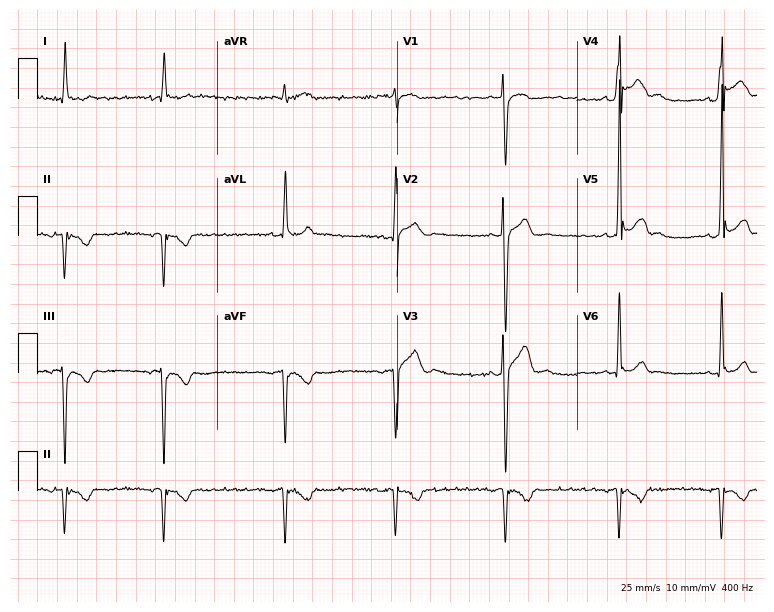
ECG — an 18-year-old man. Screened for six findings — first-degree AV block, right bundle branch block, left bundle branch block, sinus bradycardia, atrial fibrillation, sinus tachycardia — none is recorded.